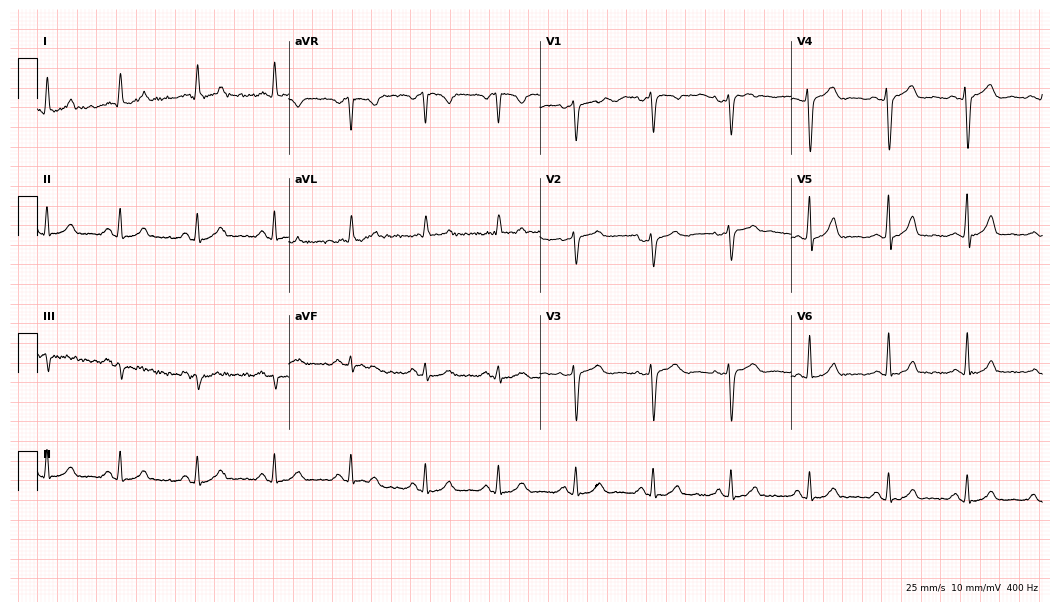
Standard 12-lead ECG recorded from a woman, 46 years old. None of these six findings is recorded: first-degree AV block, right bundle branch block (RBBB), left bundle branch block (LBBB), sinus bradycardia, atrial fibrillation (AF), sinus tachycardia.